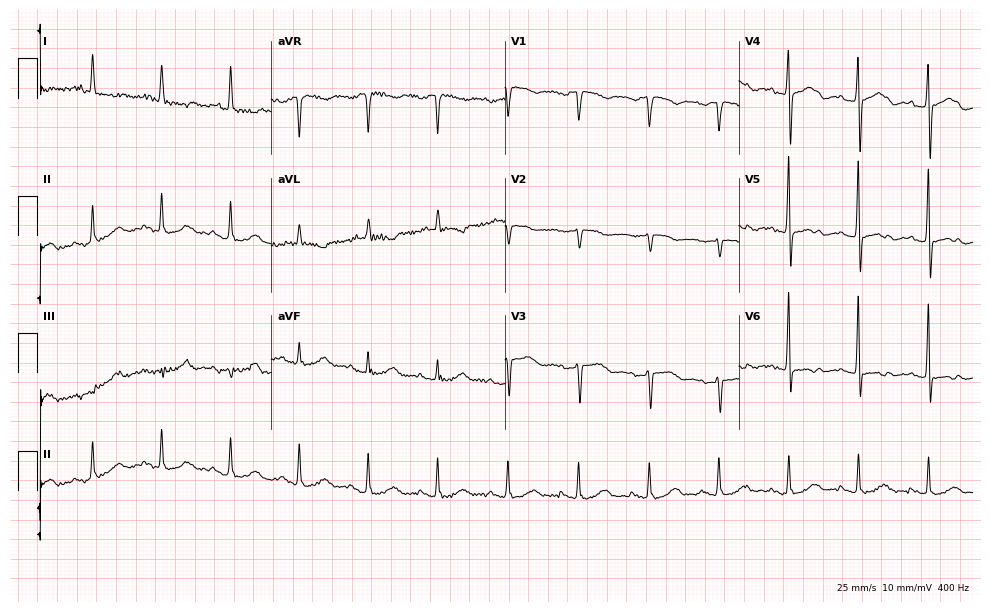
ECG (9.5-second recording at 400 Hz) — a 72-year-old female. Screened for six findings — first-degree AV block, right bundle branch block, left bundle branch block, sinus bradycardia, atrial fibrillation, sinus tachycardia — none is recorded.